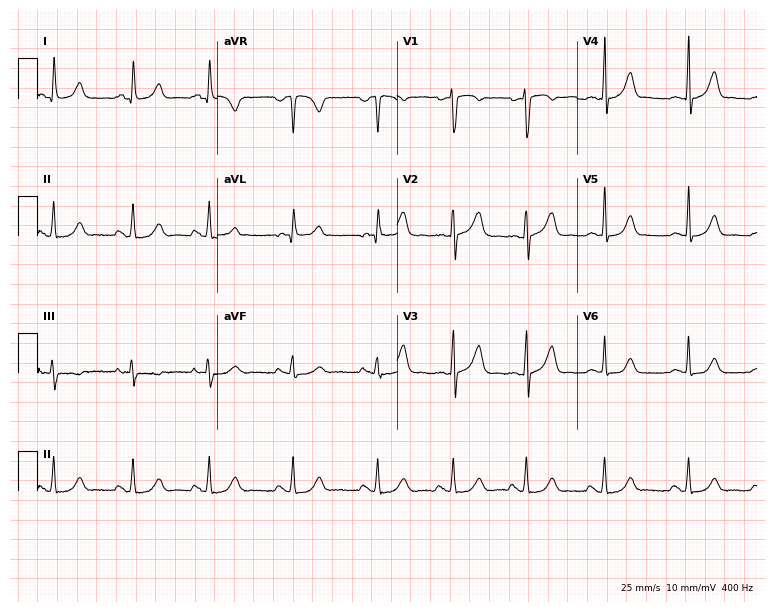
Standard 12-lead ECG recorded from a woman, 17 years old (7.3-second recording at 400 Hz). Read as a normal ECG.